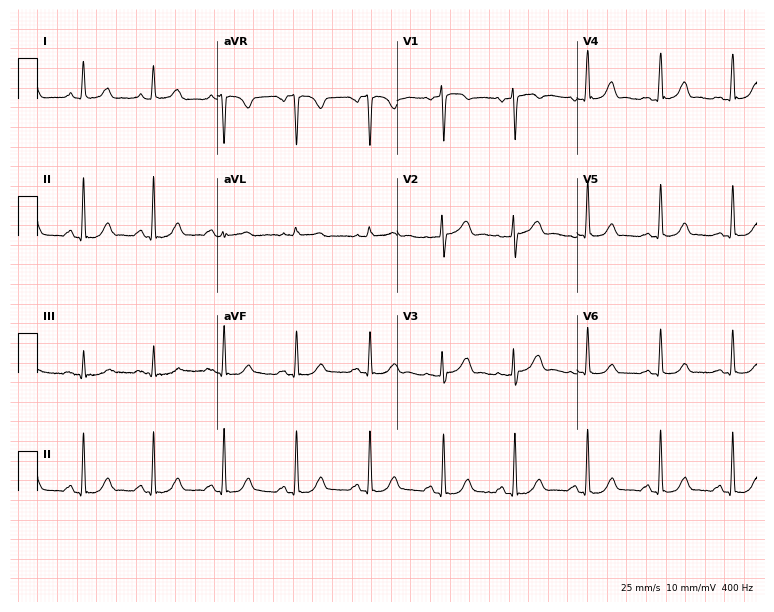
12-lead ECG (7.3-second recording at 400 Hz) from a female, 36 years old. Labelled as a normal ECG.